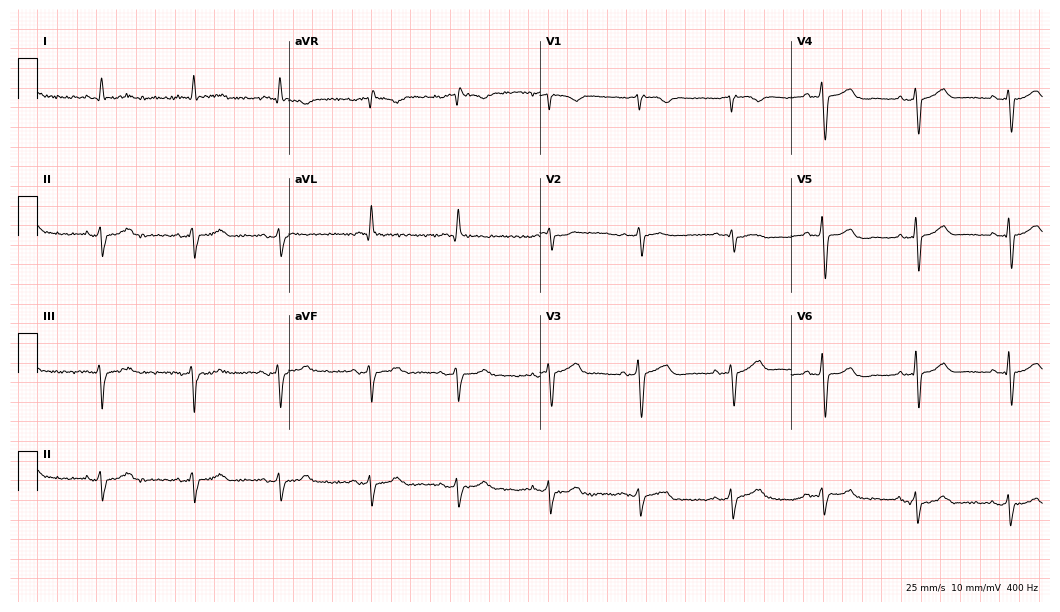
12-lead ECG from a man, 77 years old. Screened for six findings — first-degree AV block, right bundle branch block (RBBB), left bundle branch block (LBBB), sinus bradycardia, atrial fibrillation (AF), sinus tachycardia — none is recorded. Other findings, if any, are not listed.